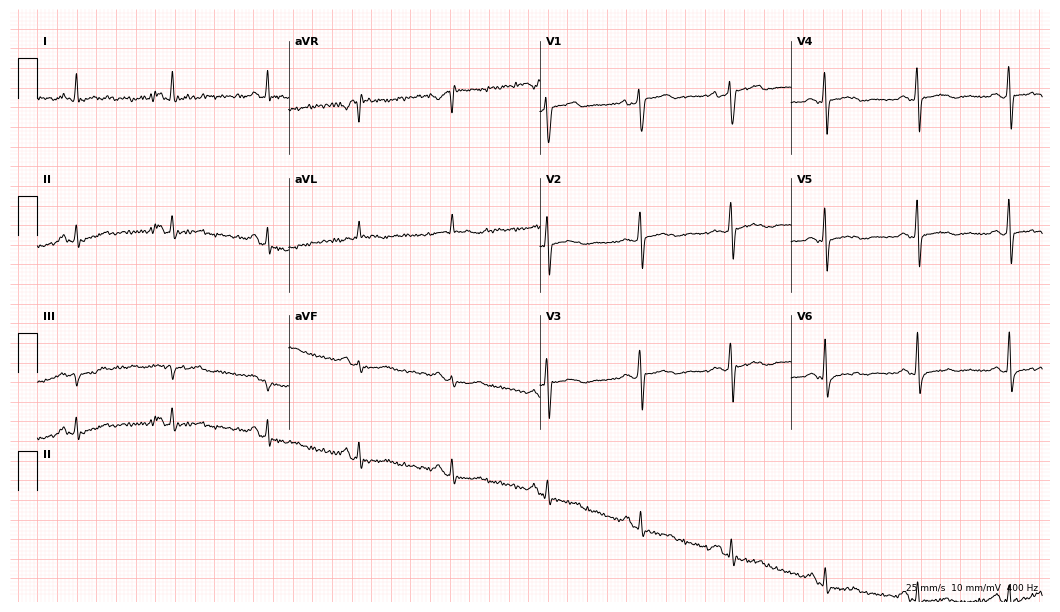
ECG (10.2-second recording at 400 Hz) — a man, 63 years old. Screened for six findings — first-degree AV block, right bundle branch block, left bundle branch block, sinus bradycardia, atrial fibrillation, sinus tachycardia — none is recorded. Findings outside these six are not listed.